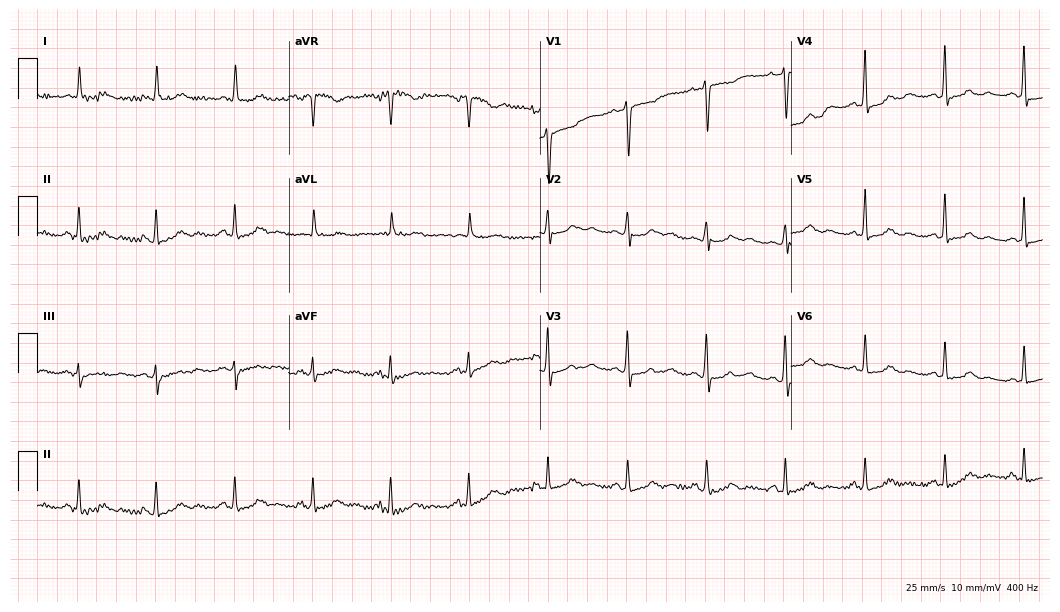
Standard 12-lead ECG recorded from a 61-year-old woman (10.2-second recording at 400 Hz). Read as a normal ECG.